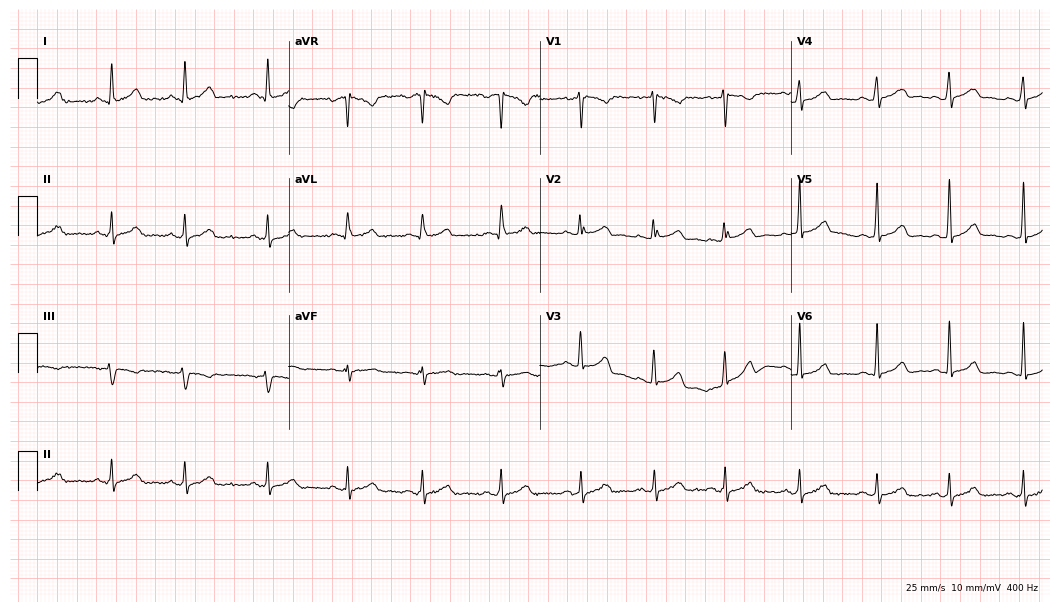
Electrocardiogram, a woman, 54 years old. Overall reading on record: normal ECG.